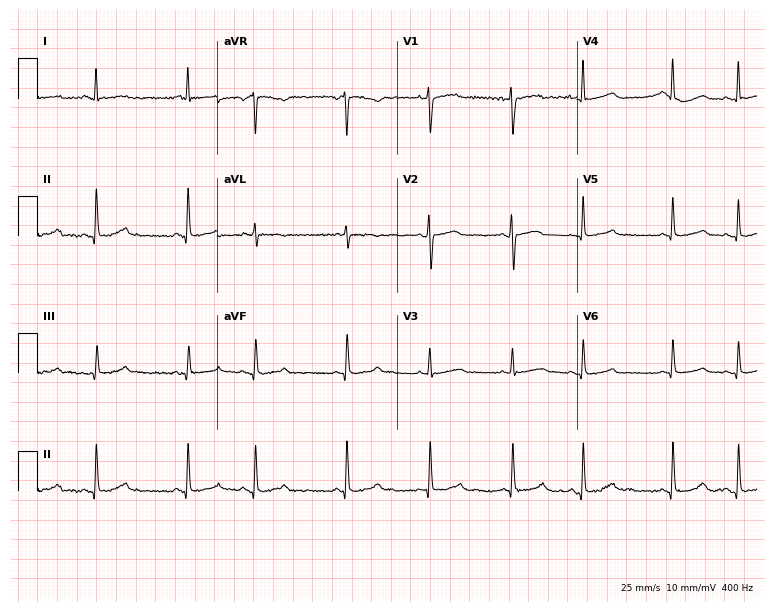
12-lead ECG from a 61-year-old woman. Recorded interpretation: within normal limits.